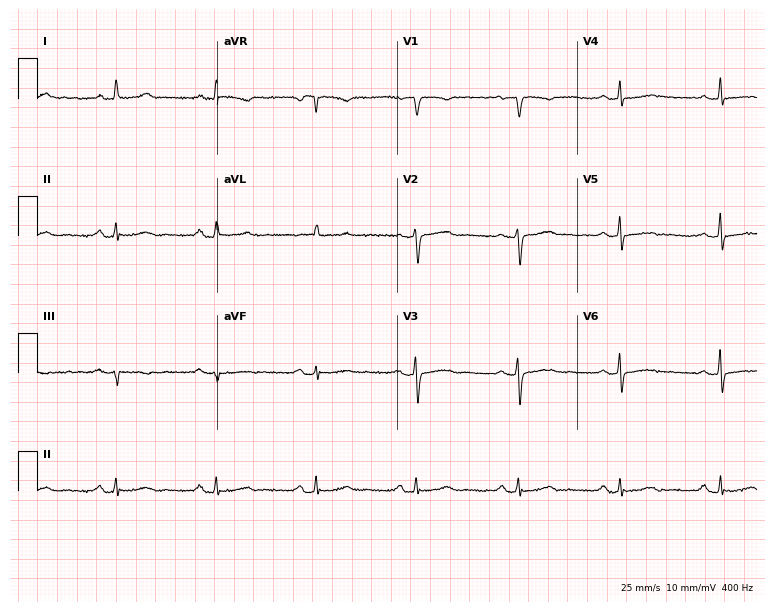
Electrocardiogram (7.3-second recording at 400 Hz), a 62-year-old female patient. Of the six screened findings (first-degree AV block, right bundle branch block, left bundle branch block, sinus bradycardia, atrial fibrillation, sinus tachycardia), none is recorded. Other findings, if any, are not listed.